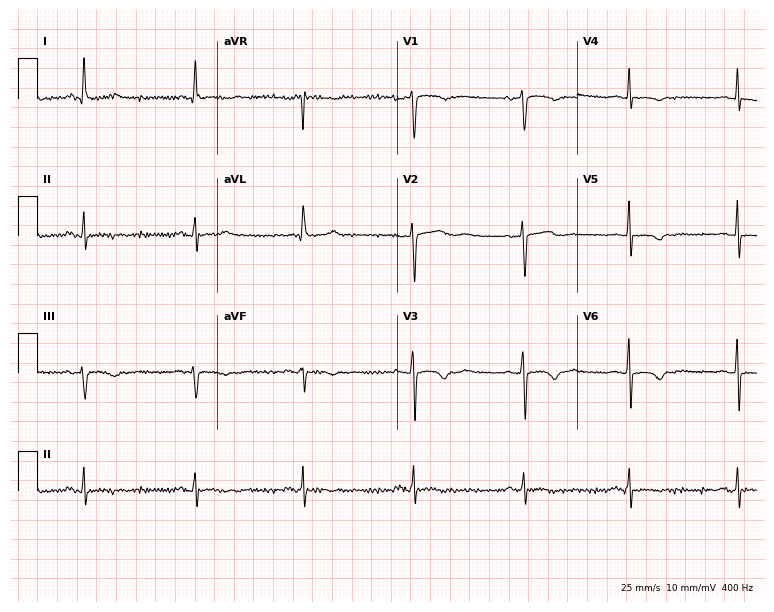
12-lead ECG from a female, 59 years old (7.3-second recording at 400 Hz). No first-degree AV block, right bundle branch block, left bundle branch block, sinus bradycardia, atrial fibrillation or sinus tachycardia recorded for this tracing.